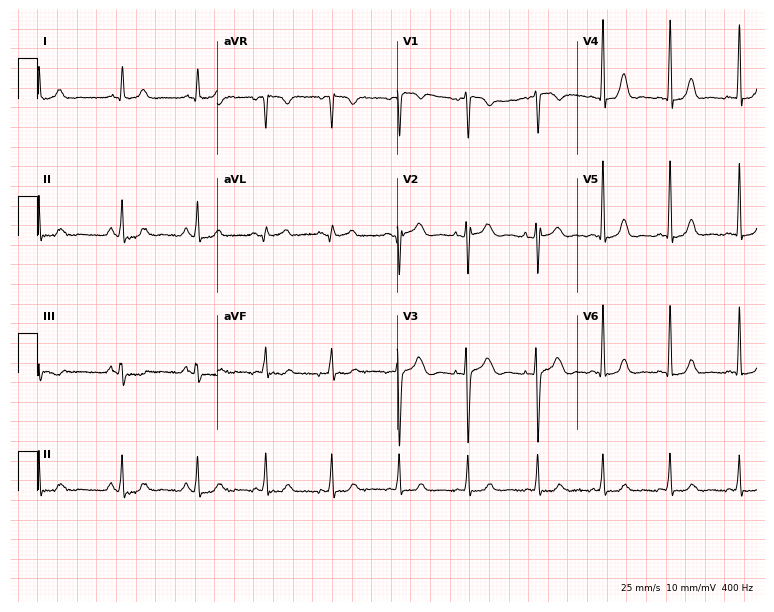
12-lead ECG from a female patient, 24 years old. No first-degree AV block, right bundle branch block, left bundle branch block, sinus bradycardia, atrial fibrillation or sinus tachycardia recorded for this tracing.